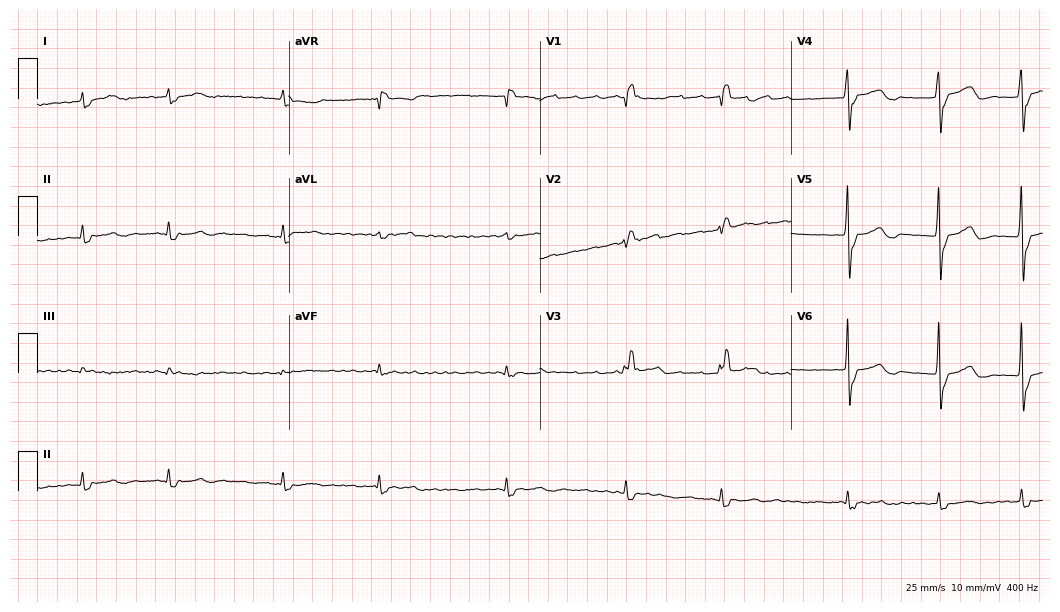
12-lead ECG from a male patient, 84 years old. Shows right bundle branch block, atrial fibrillation.